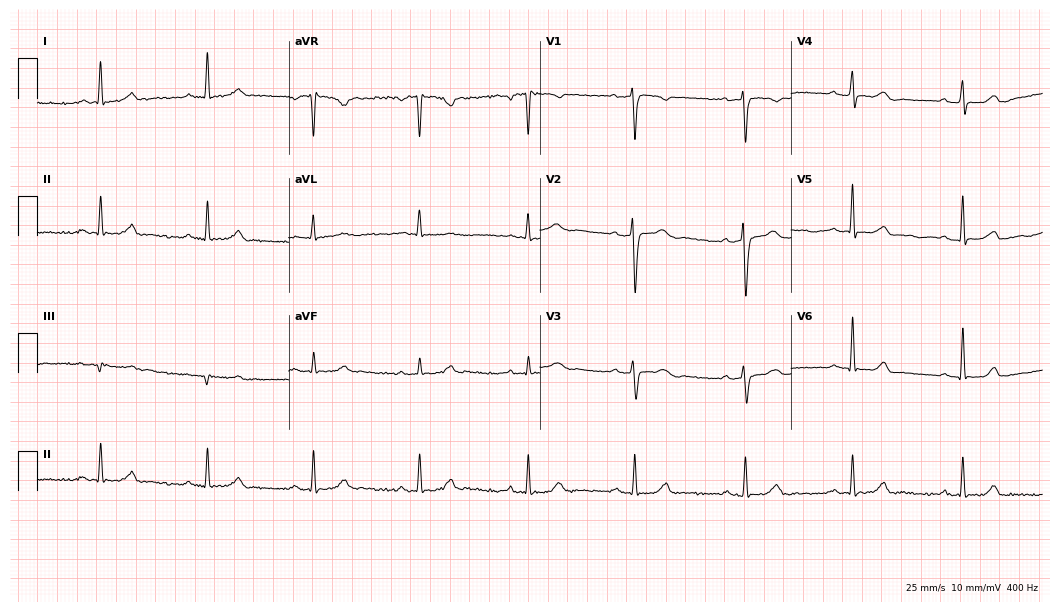
Resting 12-lead electrocardiogram. Patient: a female, 49 years old. Read as a normal ECG.